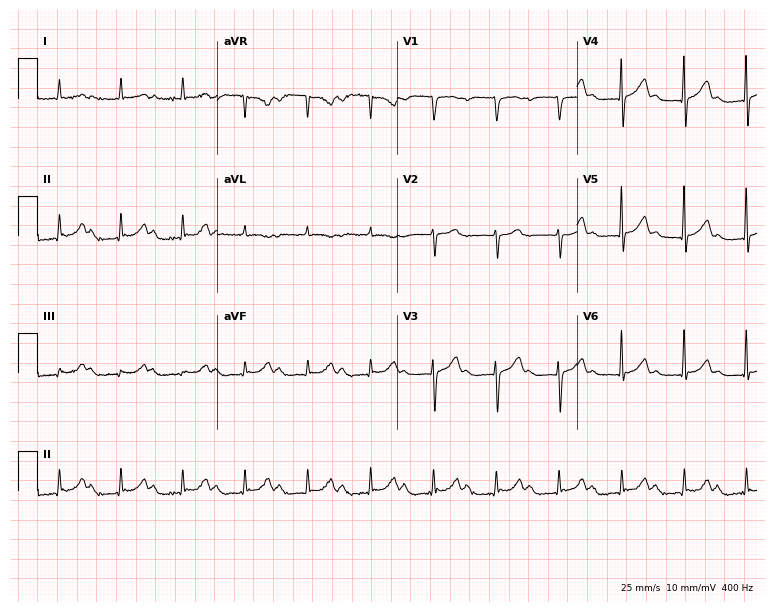
12-lead ECG from an 82-year-old man. No first-degree AV block, right bundle branch block, left bundle branch block, sinus bradycardia, atrial fibrillation or sinus tachycardia recorded for this tracing.